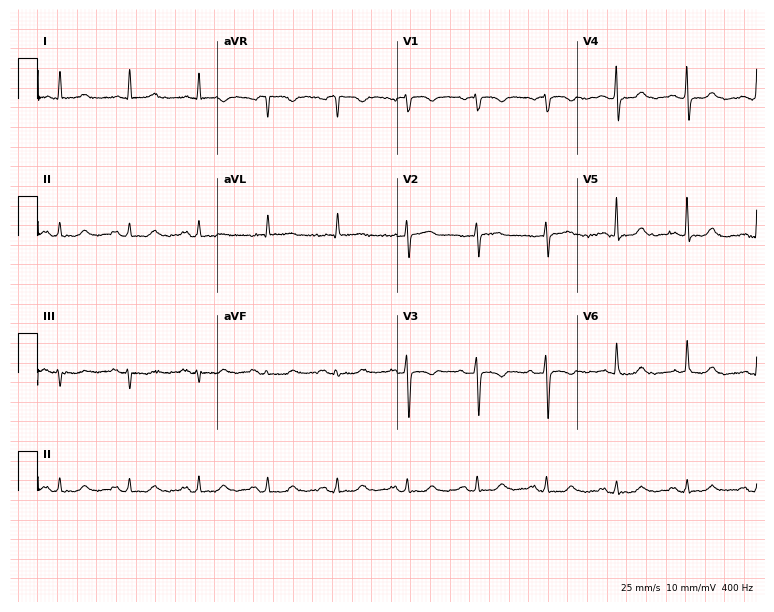
Resting 12-lead electrocardiogram (7.3-second recording at 400 Hz). Patient: a 68-year-old female. None of these six findings is recorded: first-degree AV block, right bundle branch block, left bundle branch block, sinus bradycardia, atrial fibrillation, sinus tachycardia. Findings outside these six are not listed.